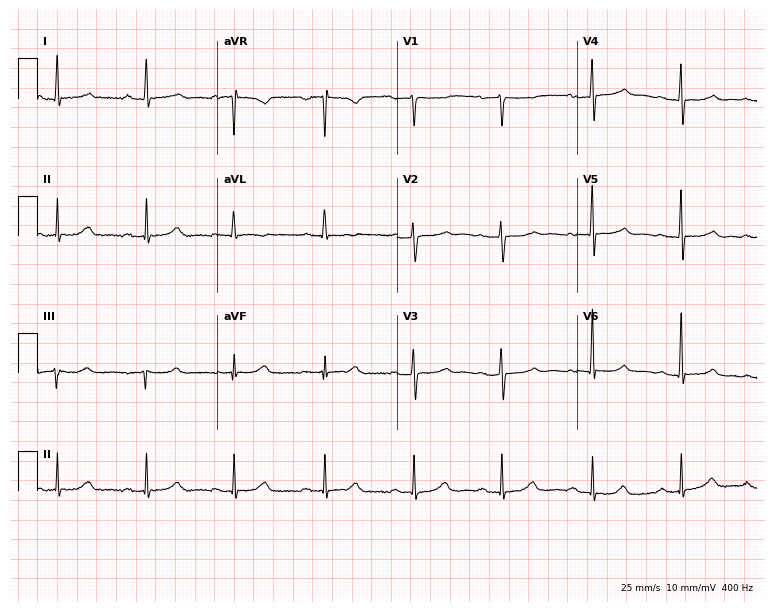
ECG — a 59-year-old female. Findings include first-degree AV block.